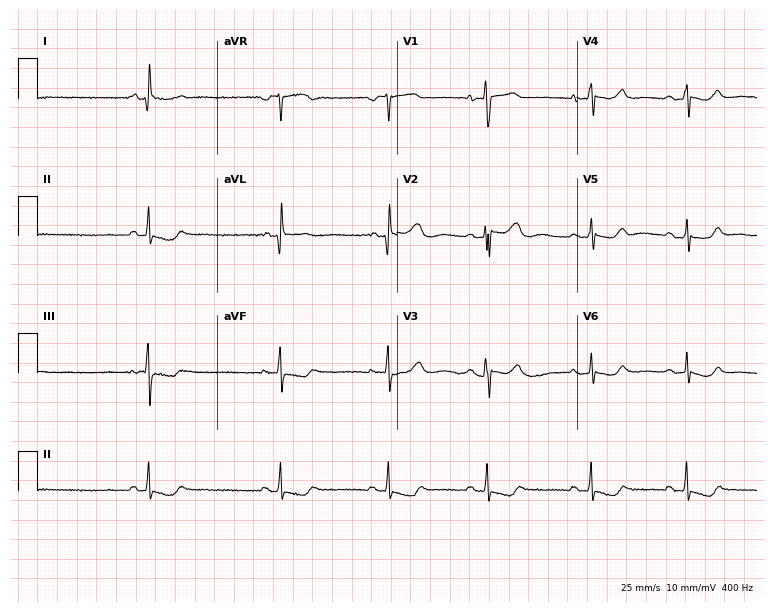
12-lead ECG from a 64-year-old woman. No first-degree AV block, right bundle branch block (RBBB), left bundle branch block (LBBB), sinus bradycardia, atrial fibrillation (AF) or sinus tachycardia recorded for this tracing. Findings outside these six are not listed.